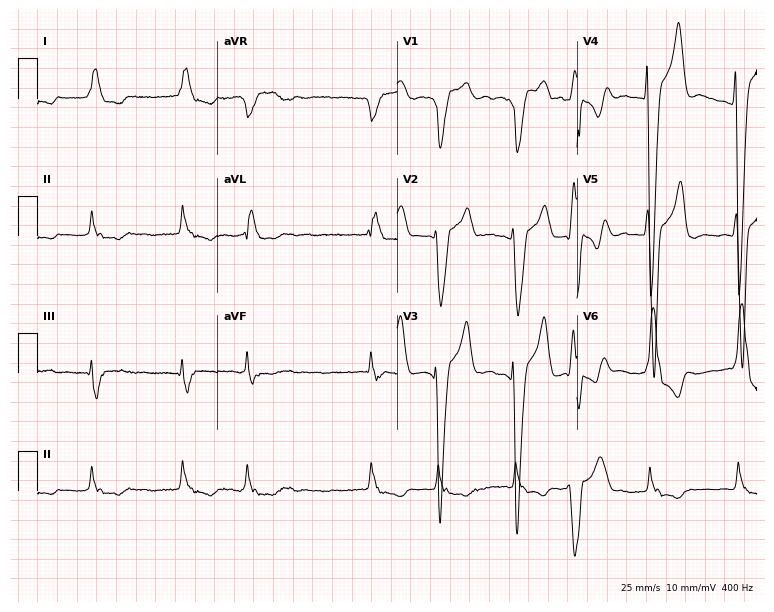
12-lead ECG from a 75-year-old female. Findings include left bundle branch block (LBBB), atrial fibrillation (AF).